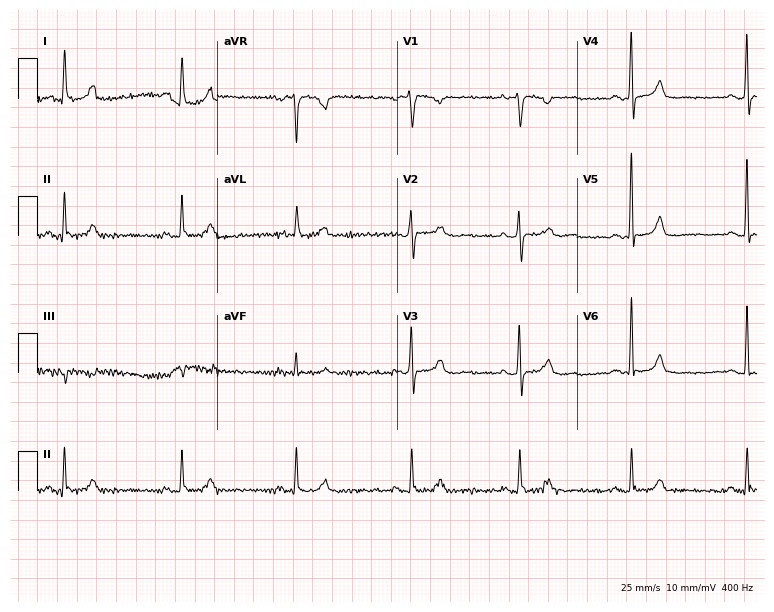
12-lead ECG (7.3-second recording at 400 Hz) from a man, 70 years old. Screened for six findings — first-degree AV block, right bundle branch block (RBBB), left bundle branch block (LBBB), sinus bradycardia, atrial fibrillation (AF), sinus tachycardia — none is recorded.